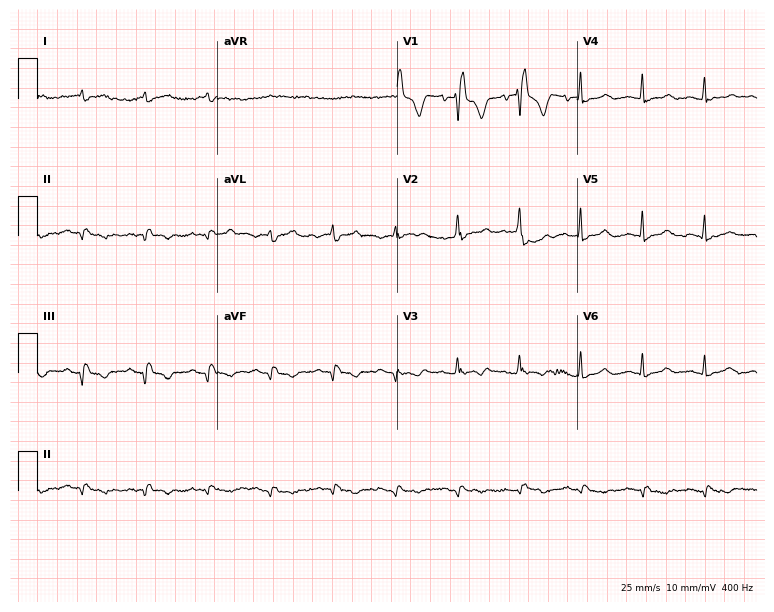
12-lead ECG from a woman, 49 years old (7.3-second recording at 400 Hz). Shows right bundle branch block (RBBB).